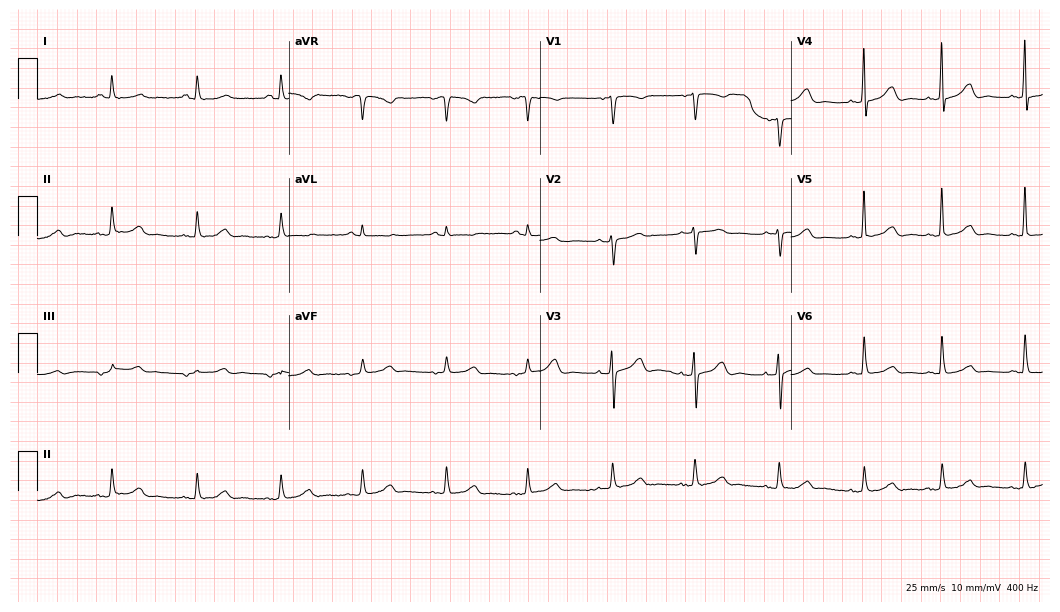
Resting 12-lead electrocardiogram (10.2-second recording at 400 Hz). Patient: an 84-year-old woman. Read as a normal ECG.